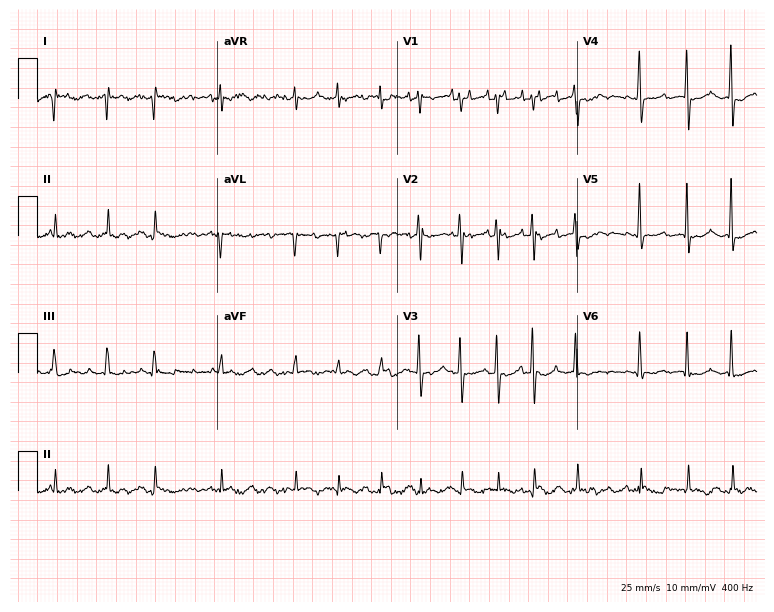
ECG (7.3-second recording at 400 Hz) — a female, 42 years old. Findings include atrial fibrillation.